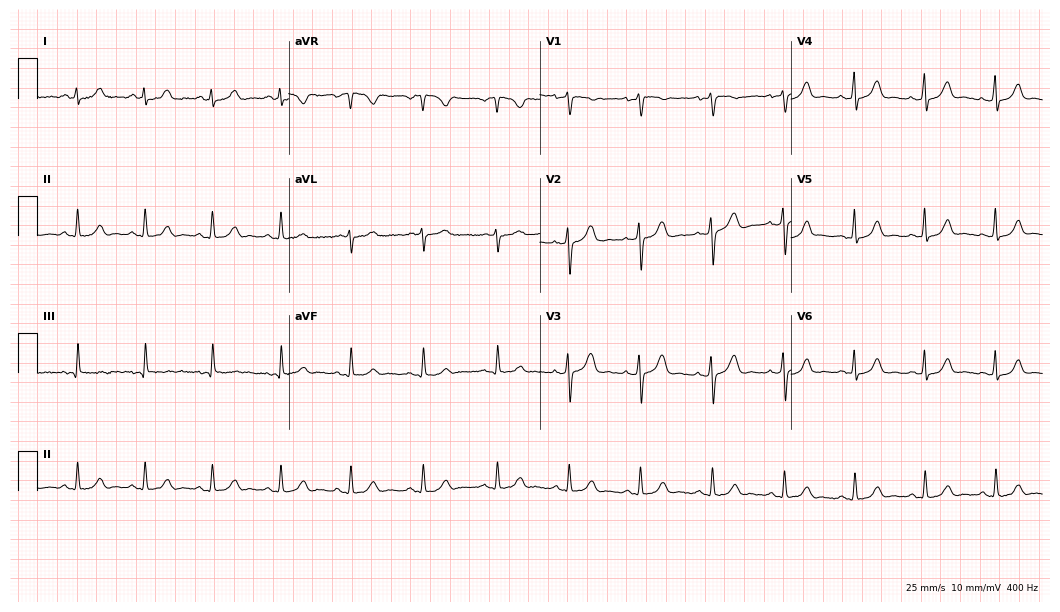
ECG — a 29-year-old female patient. Labelled as a normal ECG.